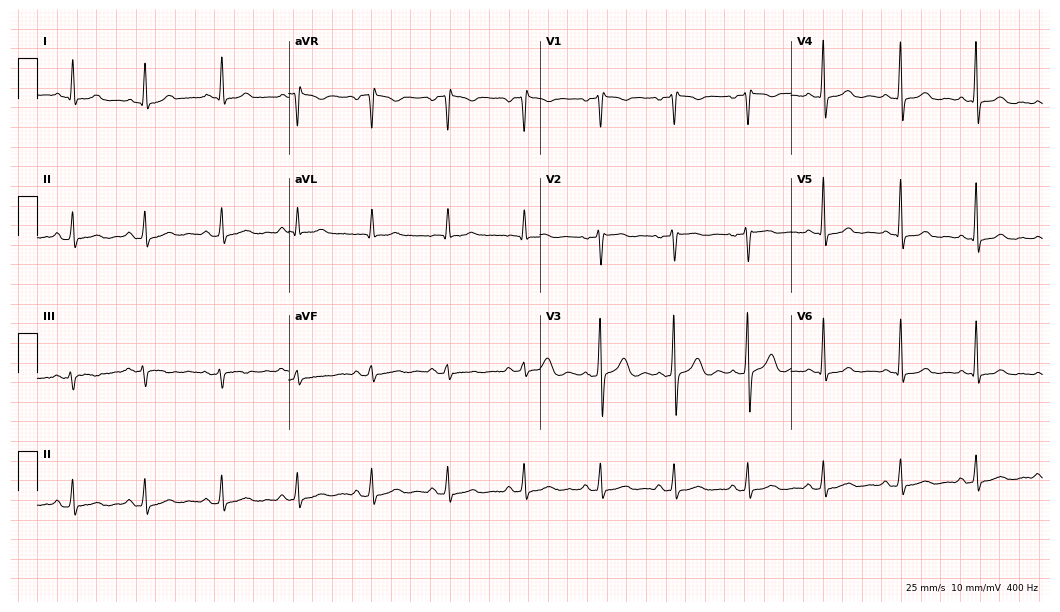
12-lead ECG (10.2-second recording at 400 Hz) from a female, 29 years old. Screened for six findings — first-degree AV block, right bundle branch block (RBBB), left bundle branch block (LBBB), sinus bradycardia, atrial fibrillation (AF), sinus tachycardia — none is recorded. Other findings, if any, are not listed.